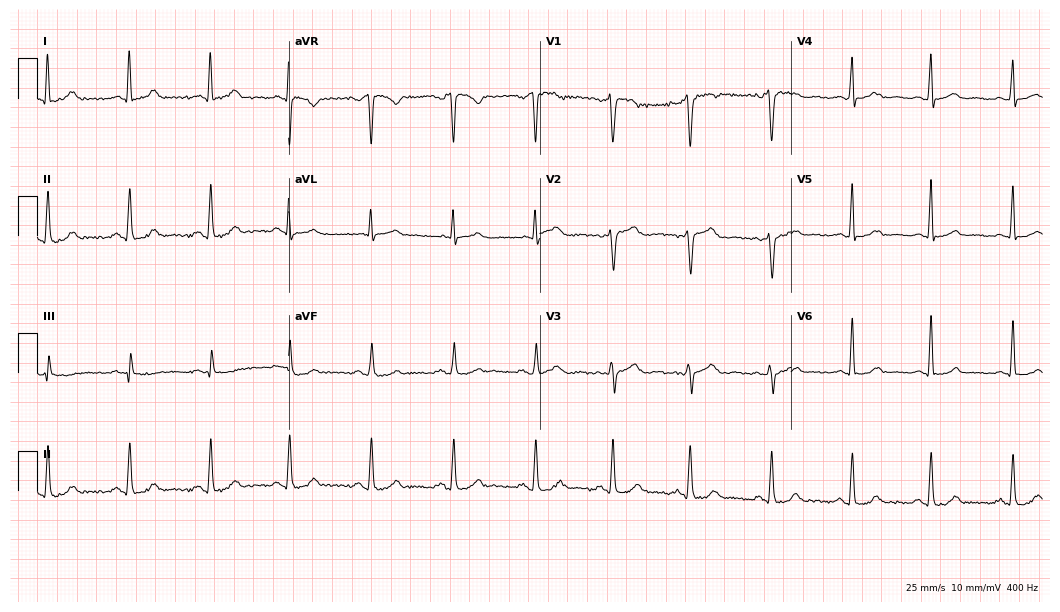
Resting 12-lead electrocardiogram (10.2-second recording at 400 Hz). Patient: a female, 37 years old. Read as a normal ECG.